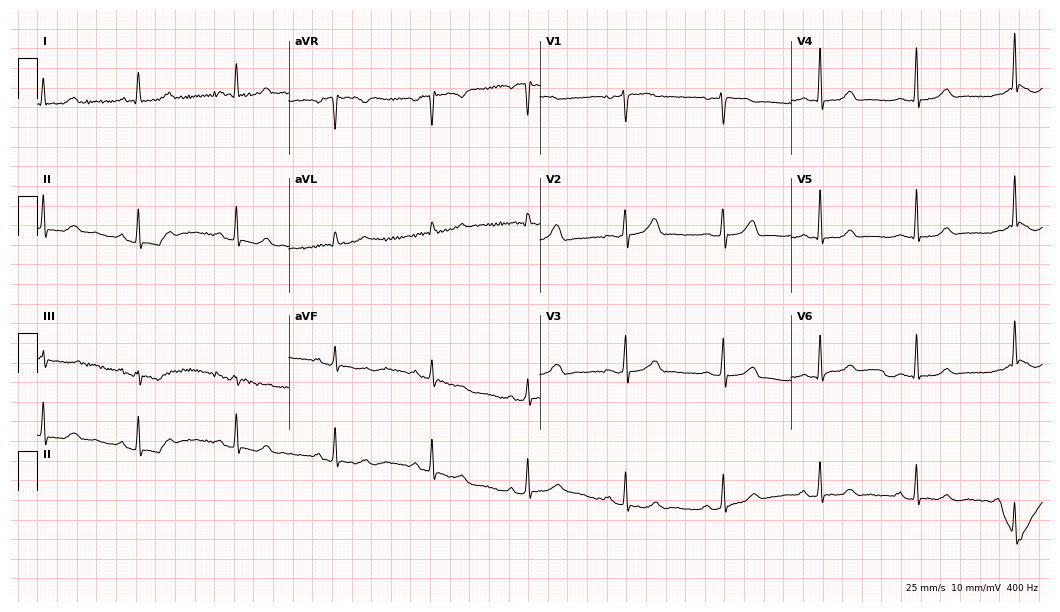
Resting 12-lead electrocardiogram. Patient: a woman, 57 years old. None of these six findings is recorded: first-degree AV block, right bundle branch block, left bundle branch block, sinus bradycardia, atrial fibrillation, sinus tachycardia. Other findings, if any, are not listed.